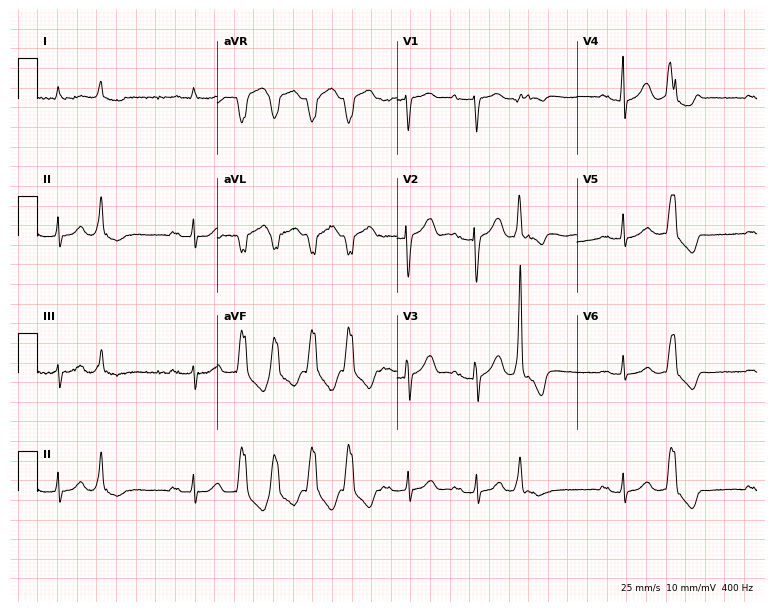
Electrocardiogram, a male, 81 years old. Of the six screened findings (first-degree AV block, right bundle branch block (RBBB), left bundle branch block (LBBB), sinus bradycardia, atrial fibrillation (AF), sinus tachycardia), none is recorded.